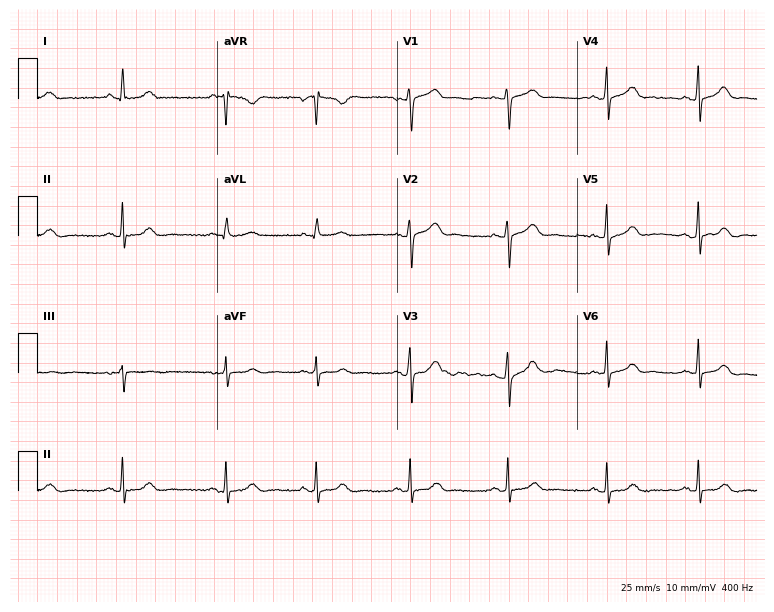
12-lead ECG from a female patient, 36 years old. Recorded interpretation: within normal limits.